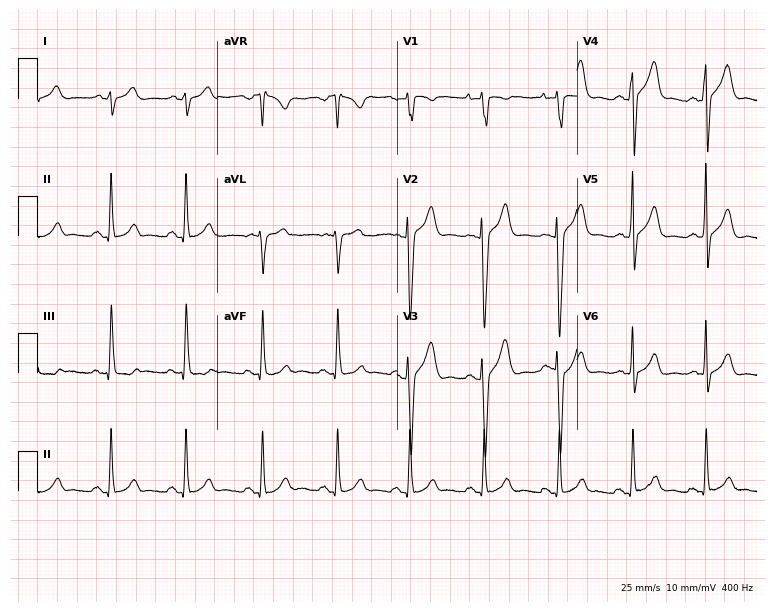
12-lead ECG from a man, 21 years old. Screened for six findings — first-degree AV block, right bundle branch block, left bundle branch block, sinus bradycardia, atrial fibrillation, sinus tachycardia — none is recorded. Only these six findings were labelled.